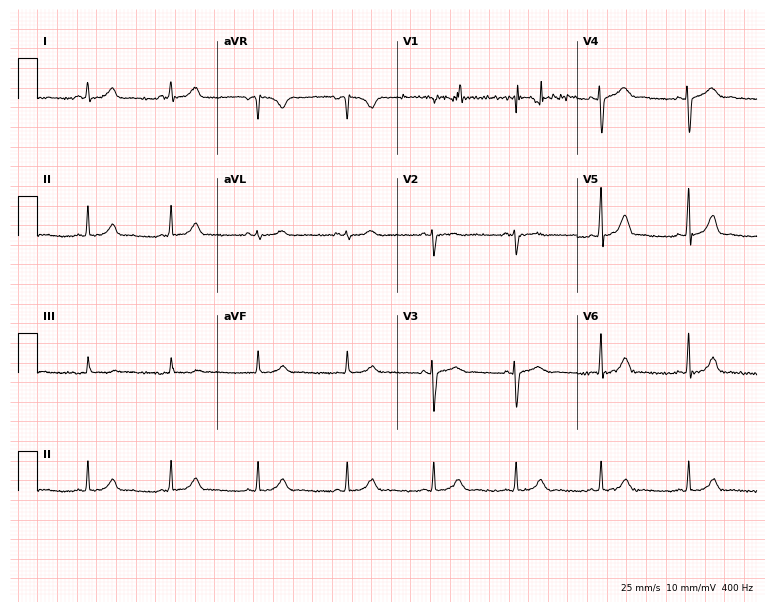
12-lead ECG (7.3-second recording at 400 Hz) from a female patient, 27 years old. Labelled as a normal ECG.